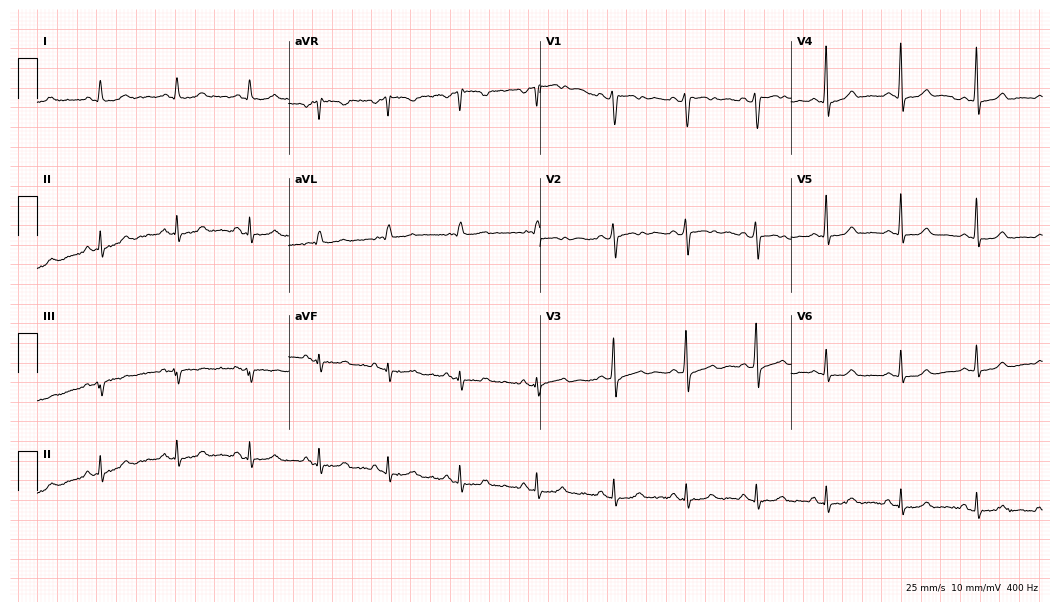
ECG (10.2-second recording at 400 Hz) — a female patient, 38 years old. Screened for six findings — first-degree AV block, right bundle branch block, left bundle branch block, sinus bradycardia, atrial fibrillation, sinus tachycardia — none is recorded.